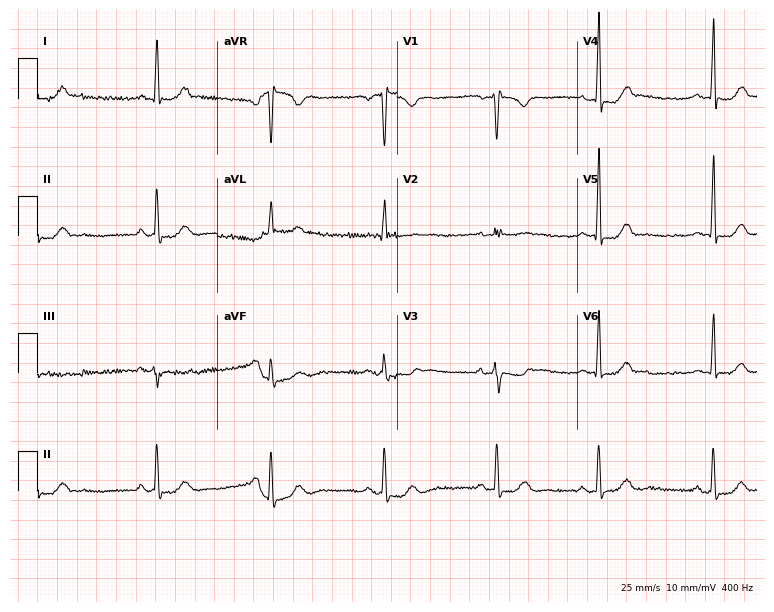
Electrocardiogram (7.3-second recording at 400 Hz), a 49-year-old female. Of the six screened findings (first-degree AV block, right bundle branch block (RBBB), left bundle branch block (LBBB), sinus bradycardia, atrial fibrillation (AF), sinus tachycardia), none is recorded. Only these six findings were labelled.